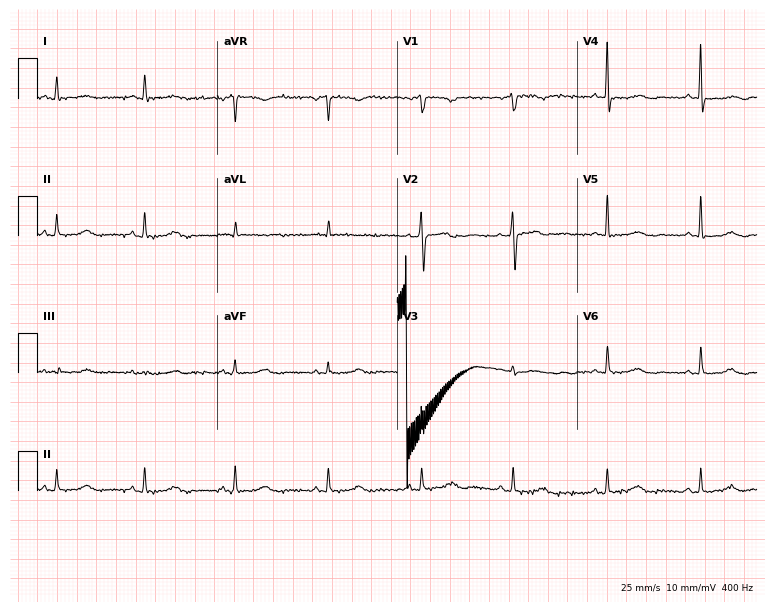
Standard 12-lead ECG recorded from a female patient, 64 years old (7.3-second recording at 400 Hz). None of these six findings is recorded: first-degree AV block, right bundle branch block (RBBB), left bundle branch block (LBBB), sinus bradycardia, atrial fibrillation (AF), sinus tachycardia. Other findings, if any, are not listed.